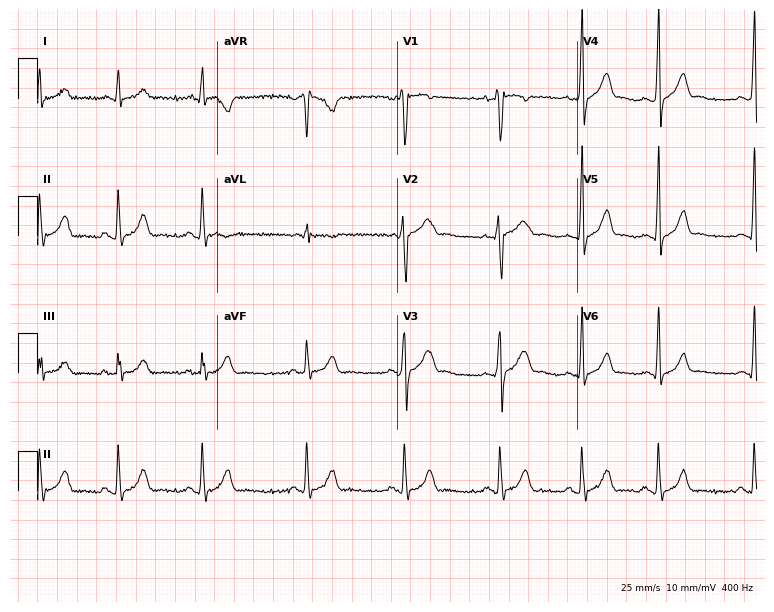
Resting 12-lead electrocardiogram (7.3-second recording at 400 Hz). Patient: a man, 18 years old. None of these six findings is recorded: first-degree AV block, right bundle branch block (RBBB), left bundle branch block (LBBB), sinus bradycardia, atrial fibrillation (AF), sinus tachycardia. Findings outside these six are not listed.